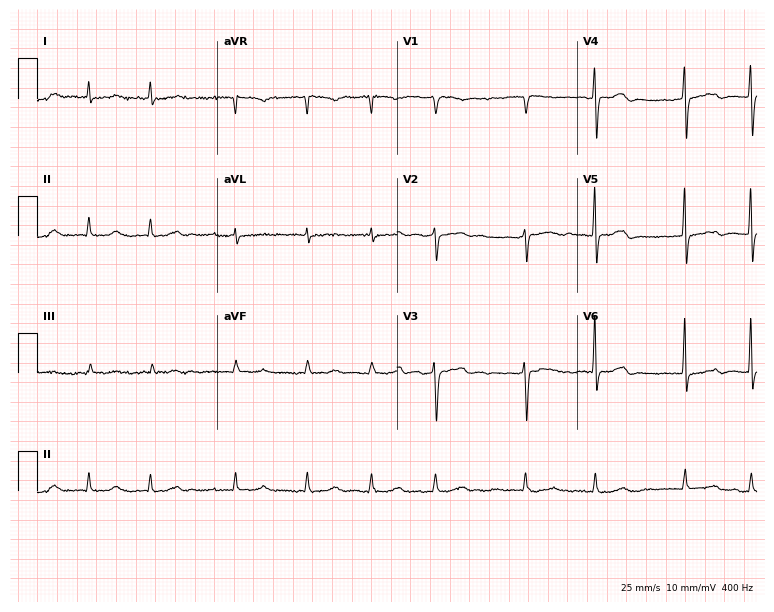
12-lead ECG from an 81-year-old female (7.3-second recording at 400 Hz). Shows atrial fibrillation (AF).